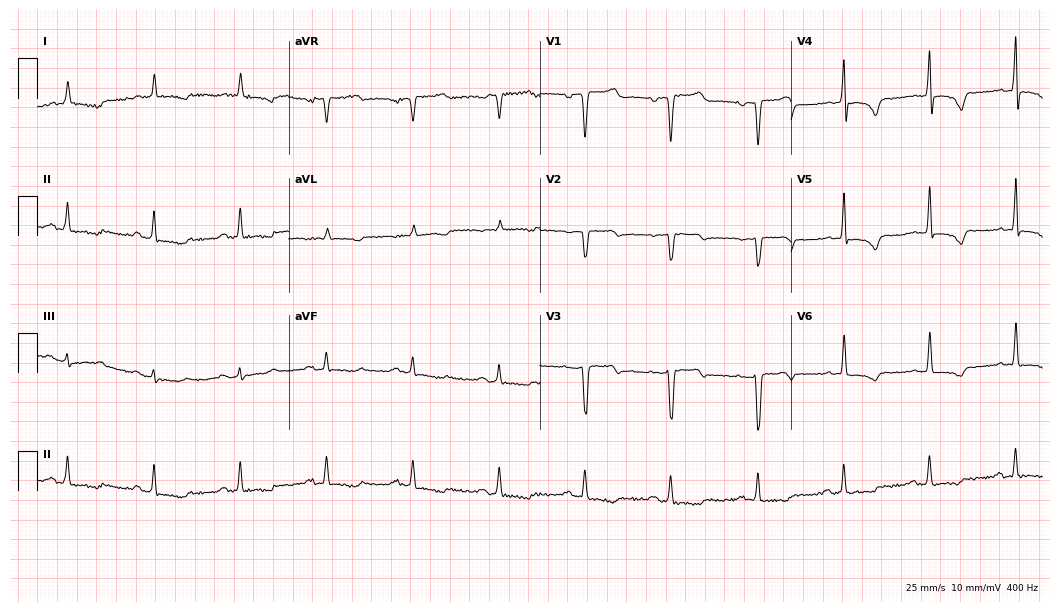
12-lead ECG from a male, 78 years old. Screened for six findings — first-degree AV block, right bundle branch block (RBBB), left bundle branch block (LBBB), sinus bradycardia, atrial fibrillation (AF), sinus tachycardia — none is recorded.